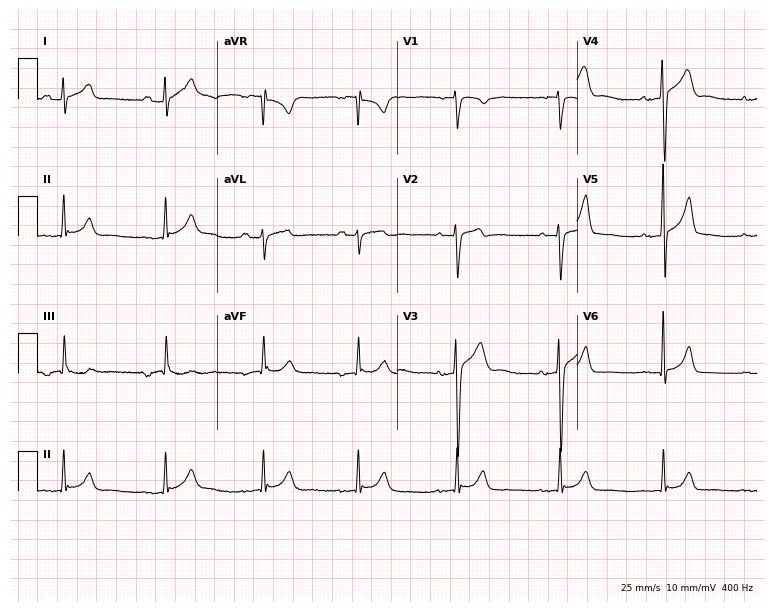
12-lead ECG from a 50-year-old man (7.3-second recording at 400 Hz). Recorded interpretation: within normal limits.